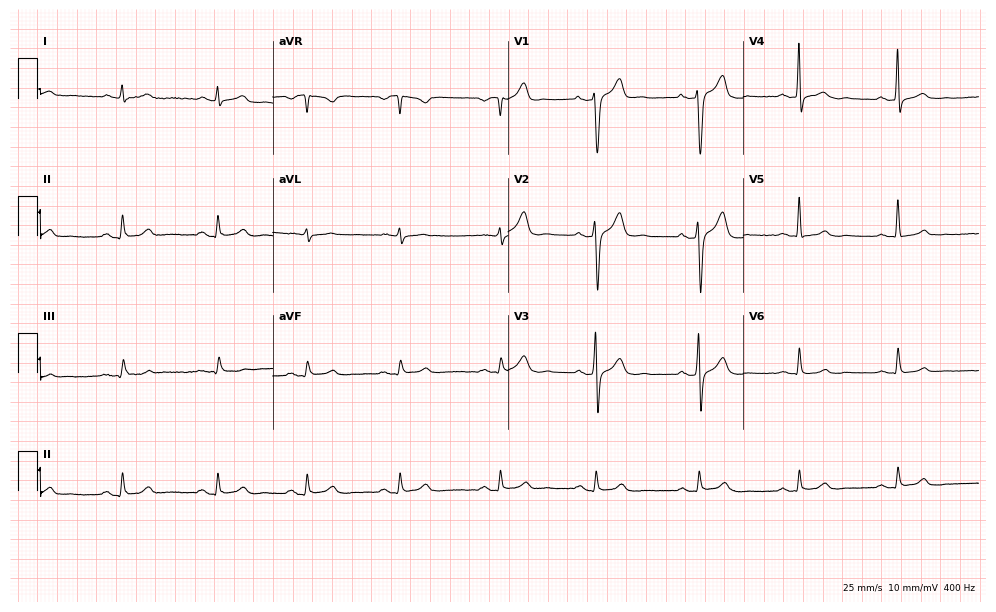
Resting 12-lead electrocardiogram (9.6-second recording at 400 Hz). Patient: a man, 42 years old. None of these six findings is recorded: first-degree AV block, right bundle branch block, left bundle branch block, sinus bradycardia, atrial fibrillation, sinus tachycardia. Only these six findings were labelled.